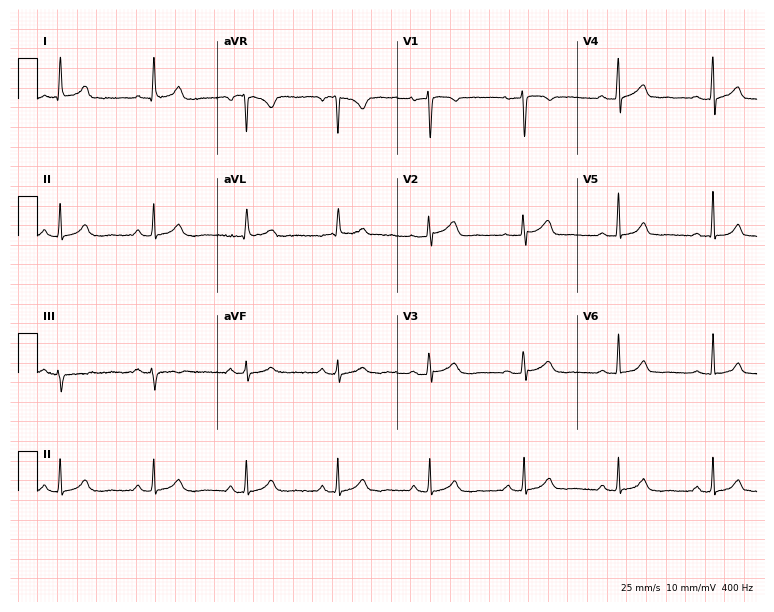
ECG — a woman, 47 years old. Labelled as a normal ECG.